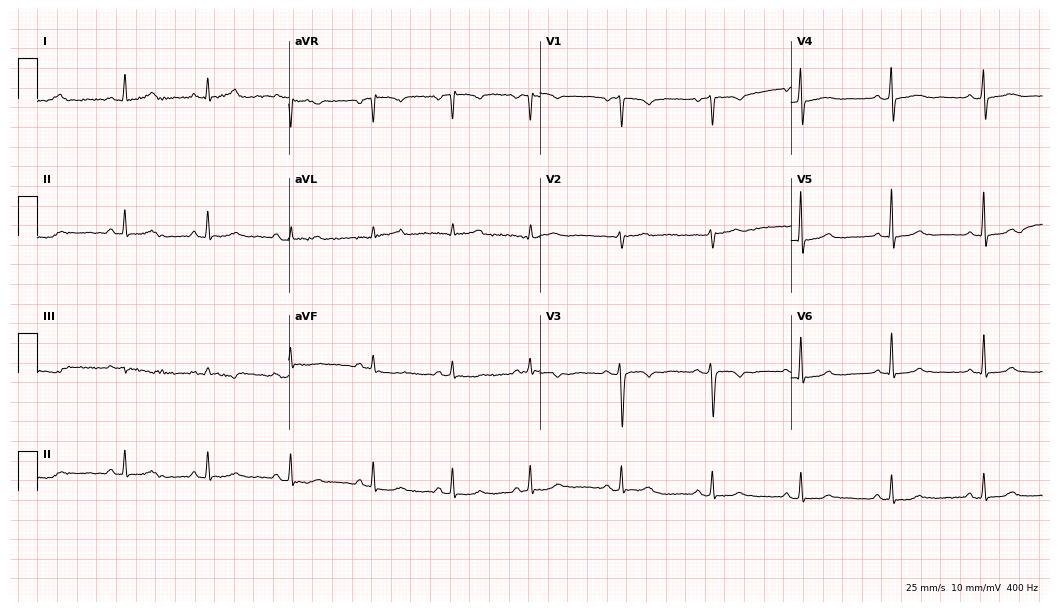
ECG (10.2-second recording at 400 Hz) — a female patient, 39 years old. Screened for six findings — first-degree AV block, right bundle branch block, left bundle branch block, sinus bradycardia, atrial fibrillation, sinus tachycardia — none is recorded.